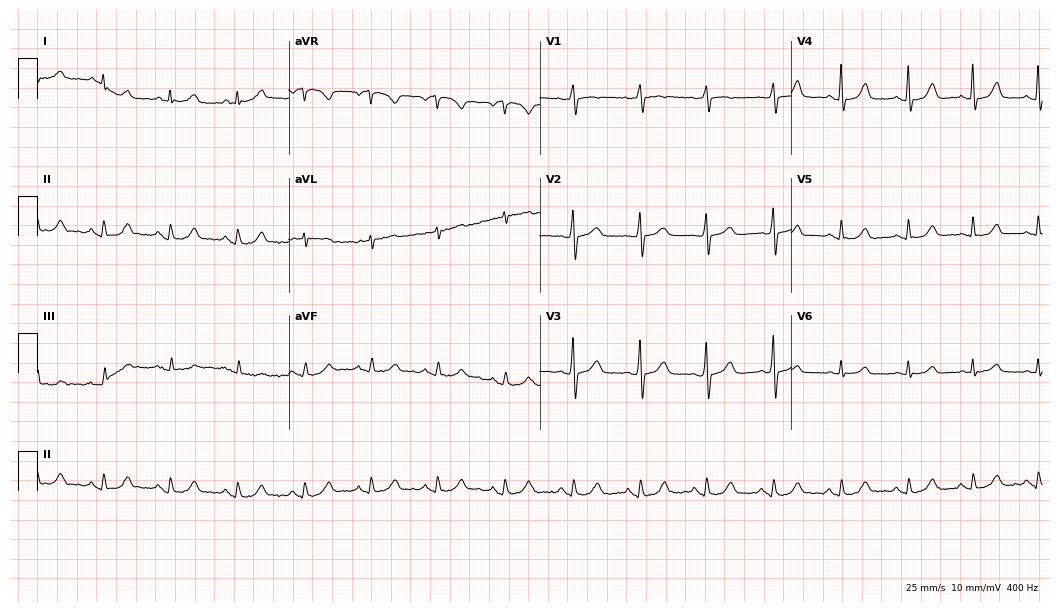
ECG (10.2-second recording at 400 Hz) — a female patient, 70 years old. Labelled as a normal ECG.